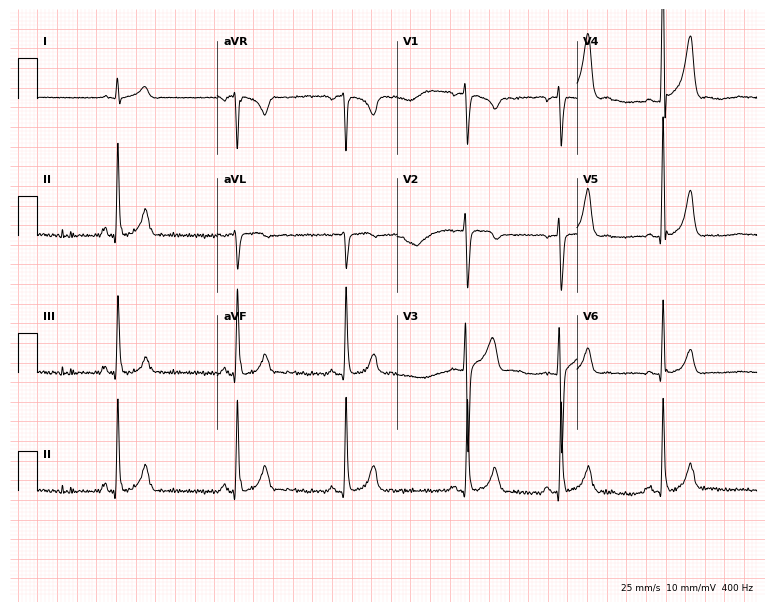
ECG — a male patient, 17 years old. Screened for six findings — first-degree AV block, right bundle branch block, left bundle branch block, sinus bradycardia, atrial fibrillation, sinus tachycardia — none is recorded. Findings outside these six are not listed.